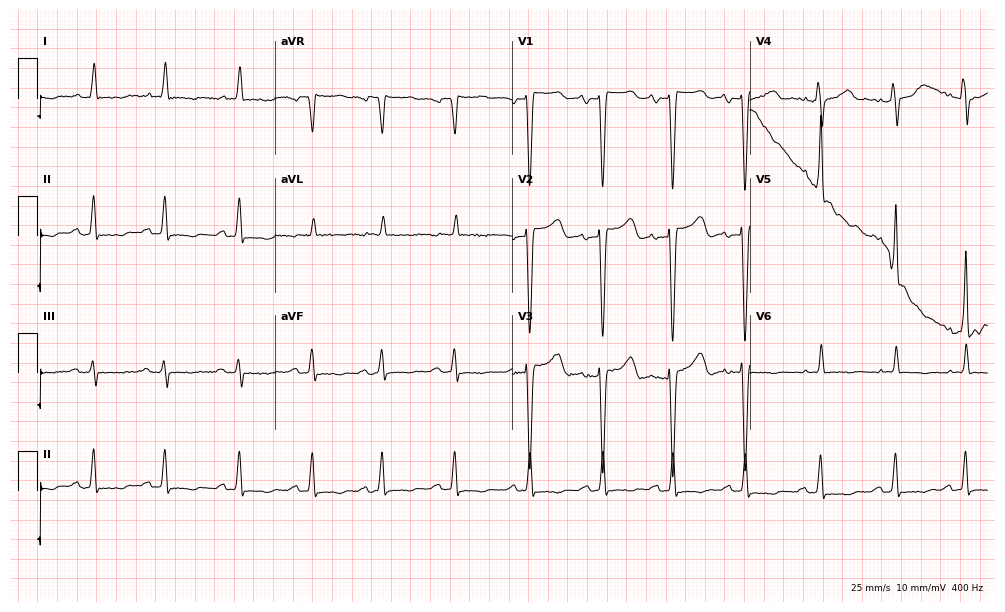
Standard 12-lead ECG recorded from a 72-year-old man (9.7-second recording at 400 Hz). None of these six findings is recorded: first-degree AV block, right bundle branch block, left bundle branch block, sinus bradycardia, atrial fibrillation, sinus tachycardia.